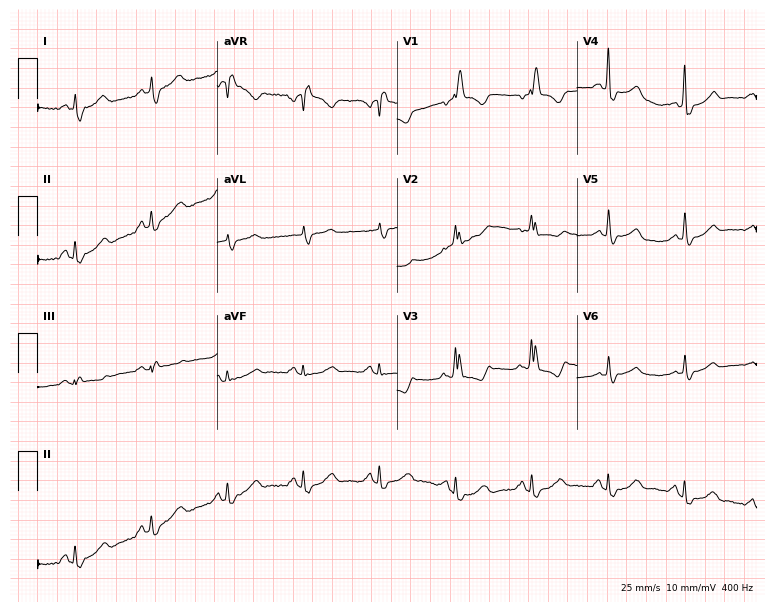
12-lead ECG from a woman, 70 years old (7.3-second recording at 400 Hz). Shows right bundle branch block (RBBB).